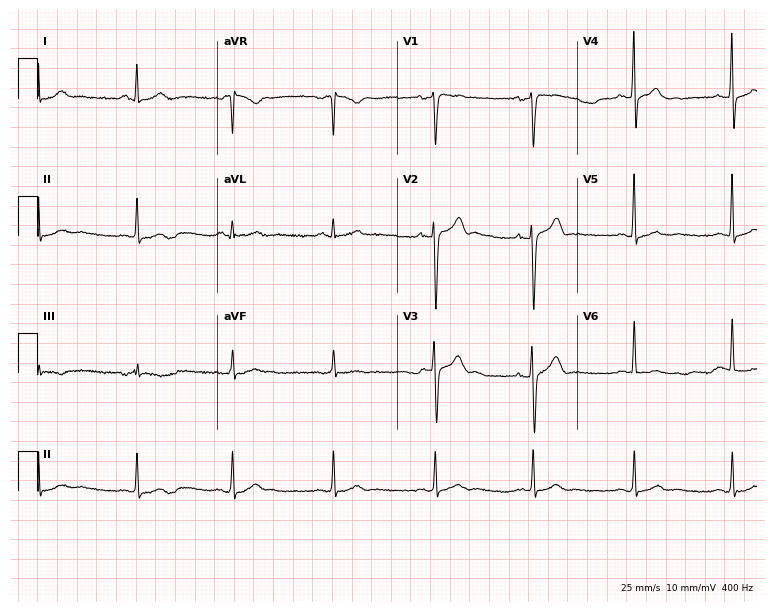
ECG (7.3-second recording at 400 Hz) — a 33-year-old man. Labelled as a normal ECG.